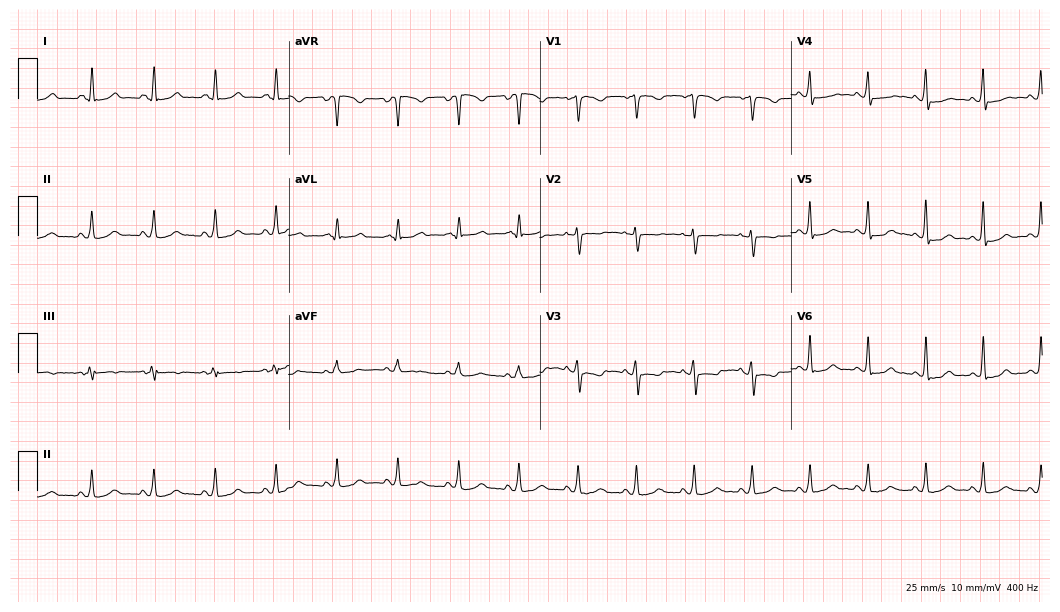
12-lead ECG (10.2-second recording at 400 Hz) from a female patient, 30 years old. Screened for six findings — first-degree AV block, right bundle branch block, left bundle branch block, sinus bradycardia, atrial fibrillation, sinus tachycardia — none is recorded.